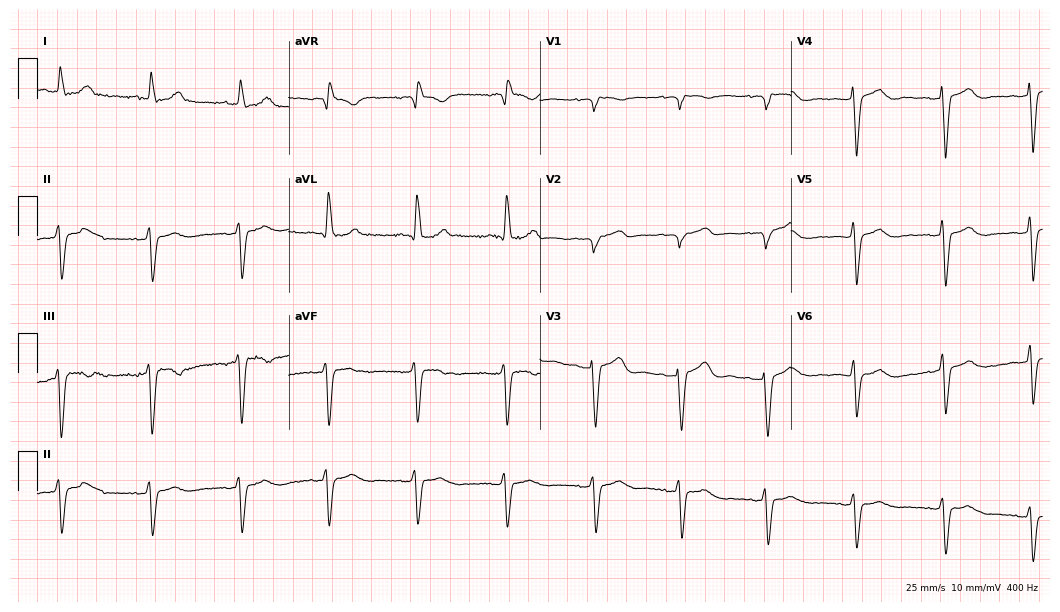
12-lead ECG from a 71-year-old female. Screened for six findings — first-degree AV block, right bundle branch block, left bundle branch block, sinus bradycardia, atrial fibrillation, sinus tachycardia — none is recorded.